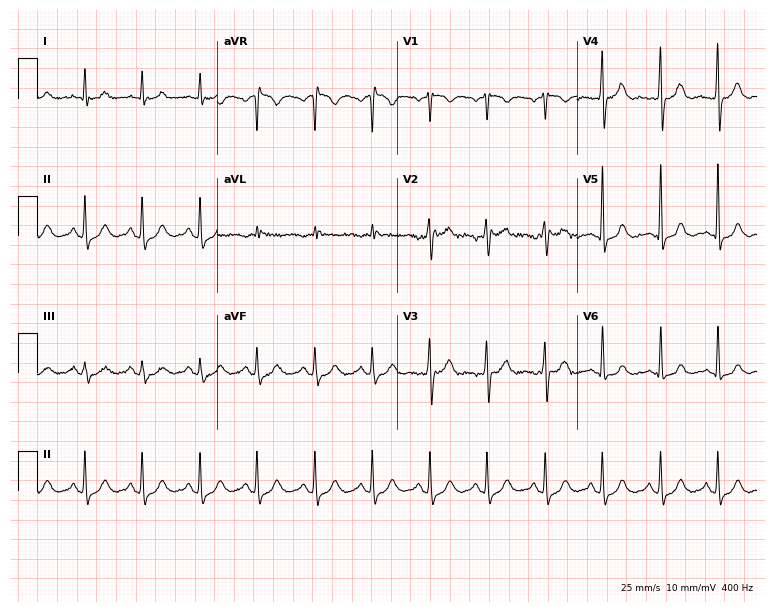
Standard 12-lead ECG recorded from a male patient, 52 years old. The tracing shows sinus tachycardia (a sinus rate of 100 beats per minute or more).